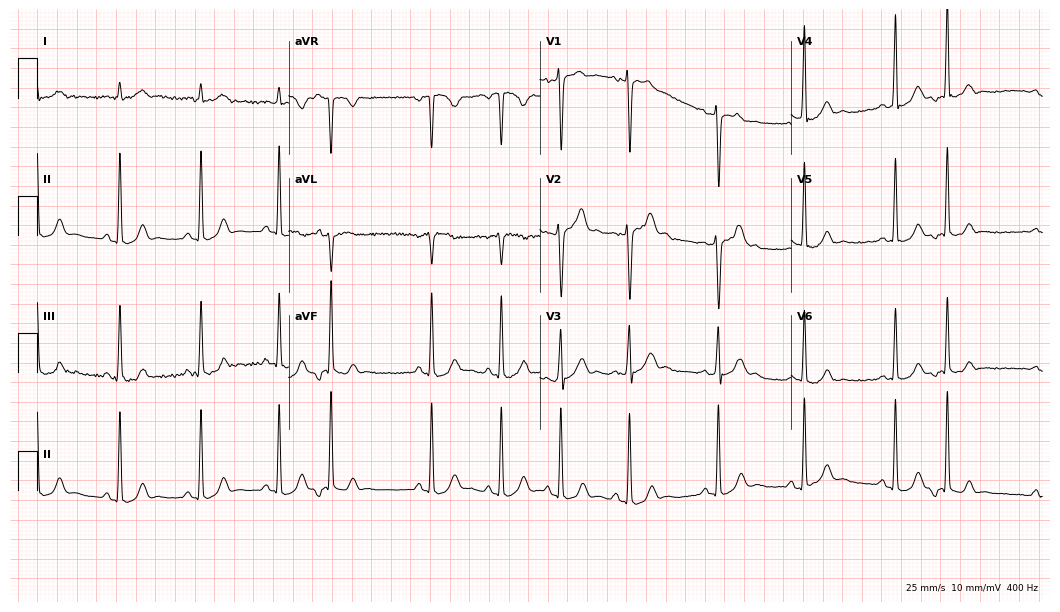
12-lead ECG from a man, 17 years old. No first-degree AV block, right bundle branch block (RBBB), left bundle branch block (LBBB), sinus bradycardia, atrial fibrillation (AF) or sinus tachycardia recorded for this tracing. Only these six findings were labelled.